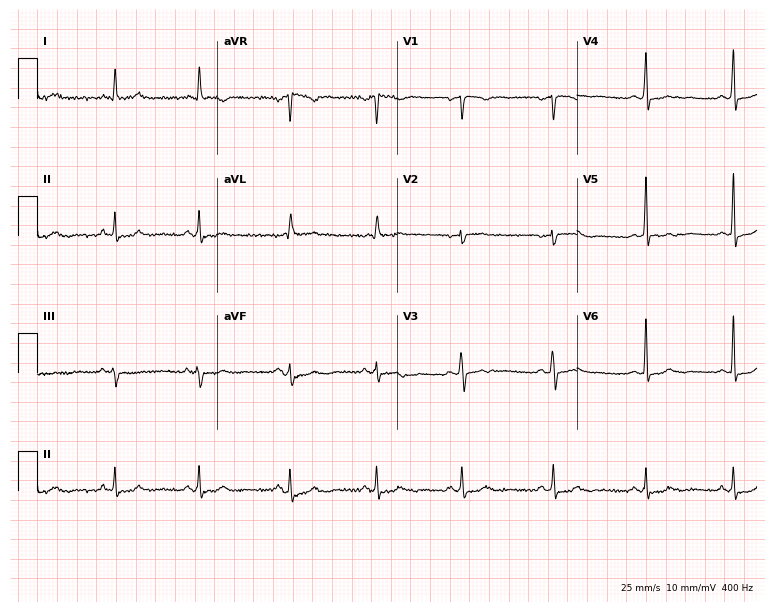
Electrocardiogram, a woman, 43 years old. Overall reading on record: normal ECG.